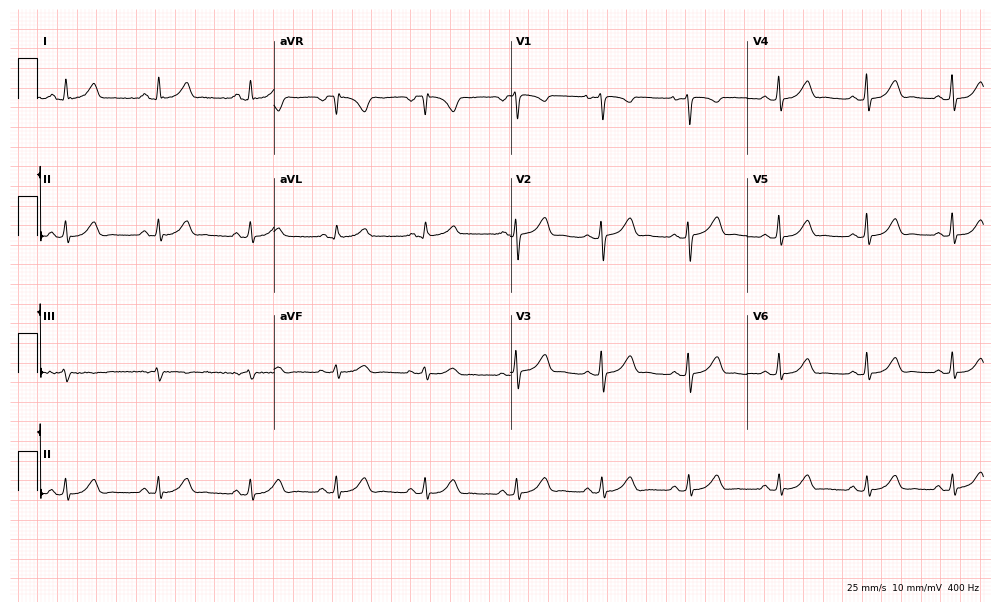
12-lead ECG from a female, 30 years old. Recorded interpretation: within normal limits.